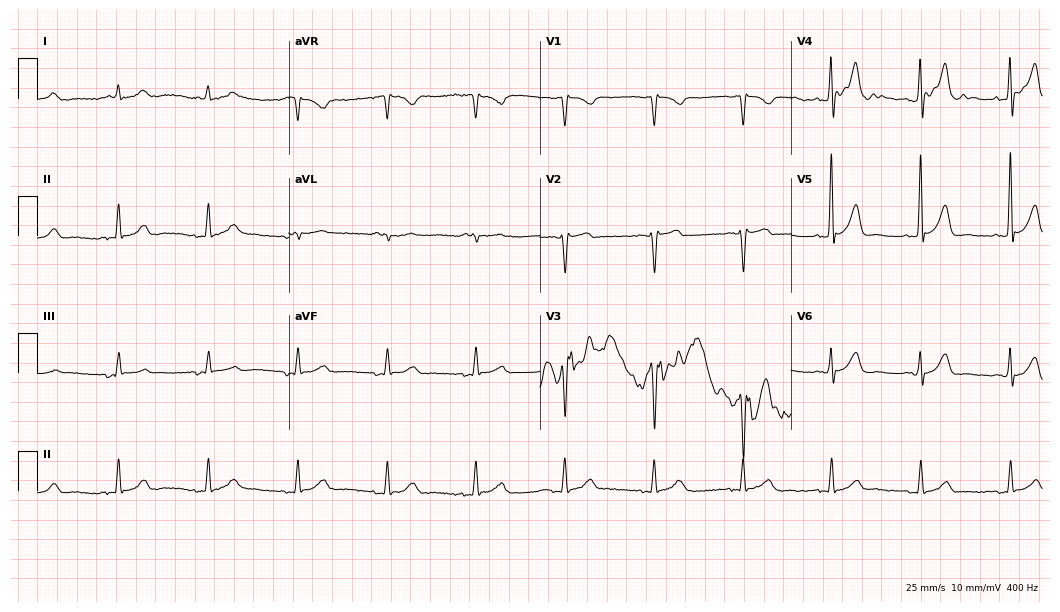
Resting 12-lead electrocardiogram. Patient: a man, 60 years old. Read as a normal ECG.